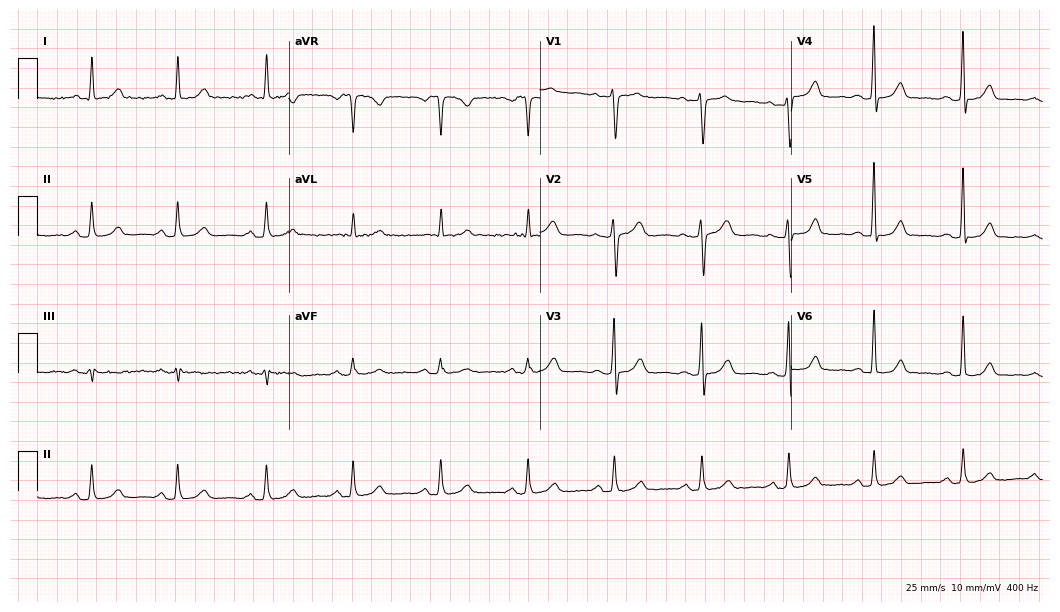
12-lead ECG (10.2-second recording at 400 Hz) from a woman, 47 years old. Labelled as a normal ECG.